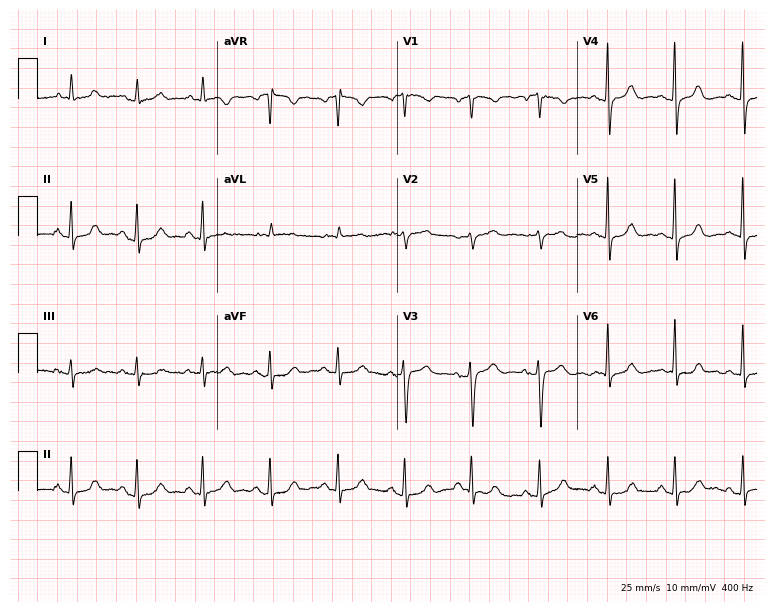
Electrocardiogram (7.3-second recording at 400 Hz), a 62-year-old woman. Overall reading on record: normal ECG.